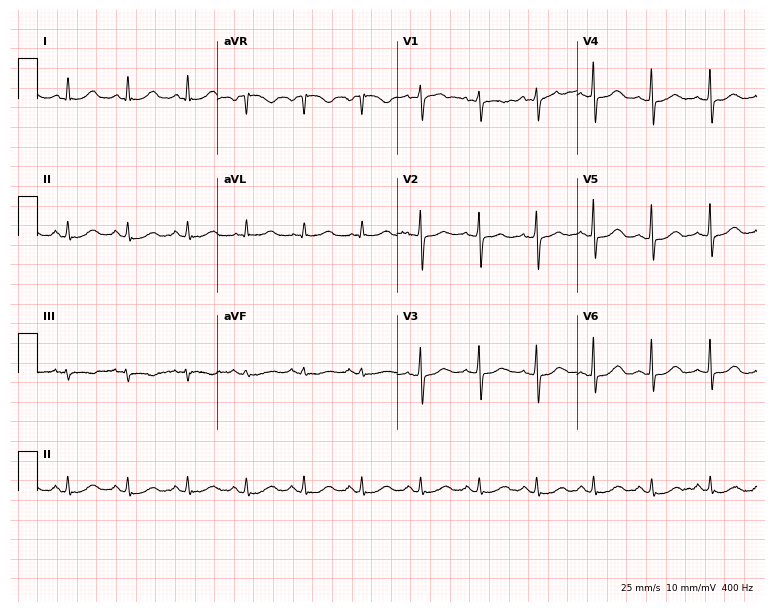
Electrocardiogram (7.3-second recording at 400 Hz), a 61-year-old female patient. Interpretation includes sinus tachycardia (a sinus rate of 100 beats per minute or more).